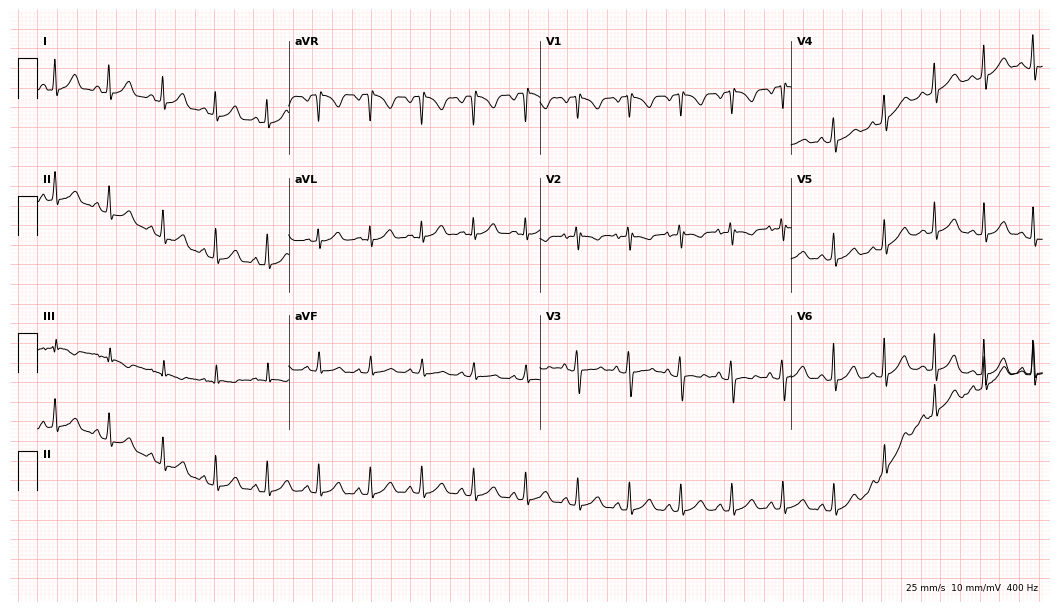
ECG (10.2-second recording at 400 Hz) — a female patient, 20 years old. Screened for six findings — first-degree AV block, right bundle branch block (RBBB), left bundle branch block (LBBB), sinus bradycardia, atrial fibrillation (AF), sinus tachycardia — none is recorded. Other findings, if any, are not listed.